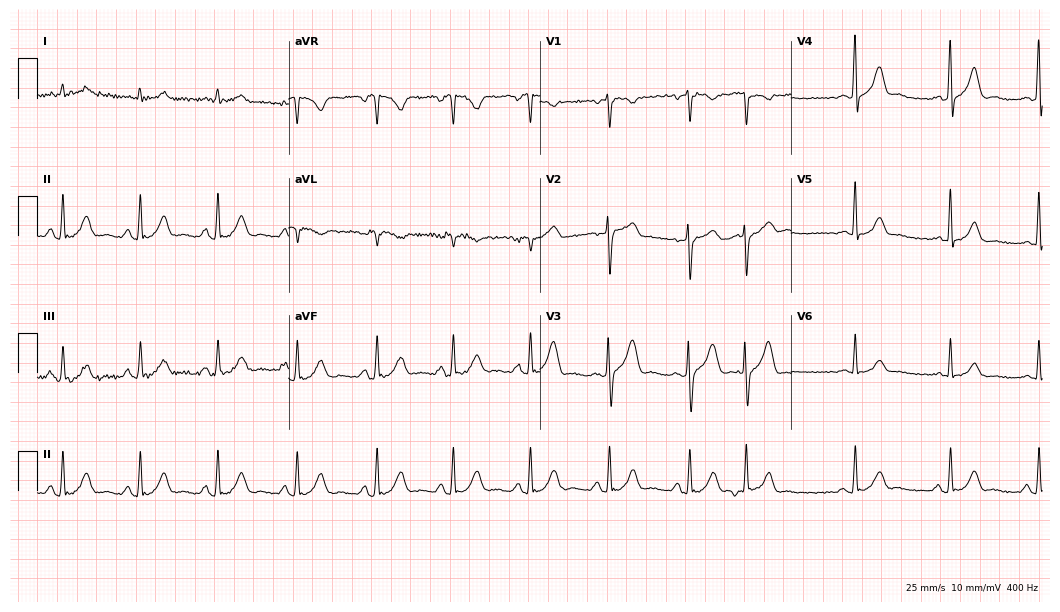
Electrocardiogram (10.2-second recording at 400 Hz), a man, 57 years old. Of the six screened findings (first-degree AV block, right bundle branch block (RBBB), left bundle branch block (LBBB), sinus bradycardia, atrial fibrillation (AF), sinus tachycardia), none is recorded. Findings outside these six are not listed.